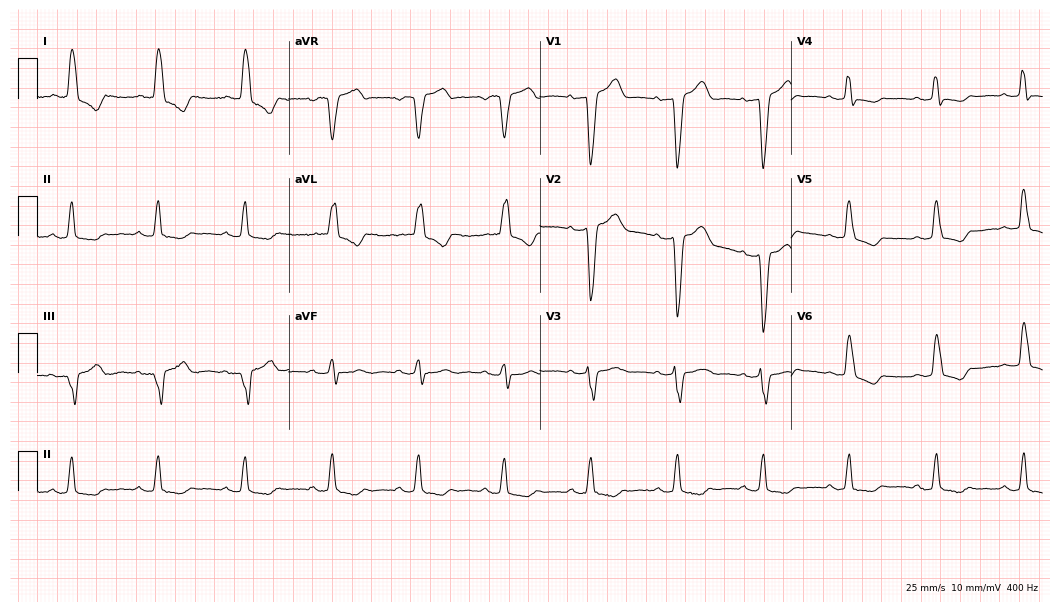
Resting 12-lead electrocardiogram (10.2-second recording at 400 Hz). Patient: an 83-year-old woman. The tracing shows left bundle branch block.